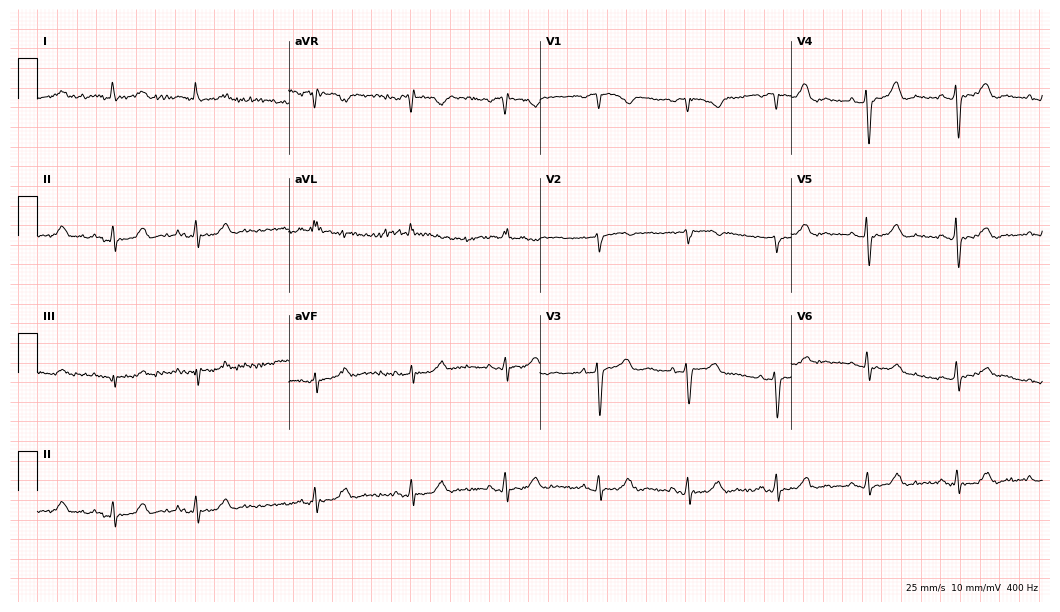
Resting 12-lead electrocardiogram. Patient: a female, 73 years old. None of these six findings is recorded: first-degree AV block, right bundle branch block (RBBB), left bundle branch block (LBBB), sinus bradycardia, atrial fibrillation (AF), sinus tachycardia.